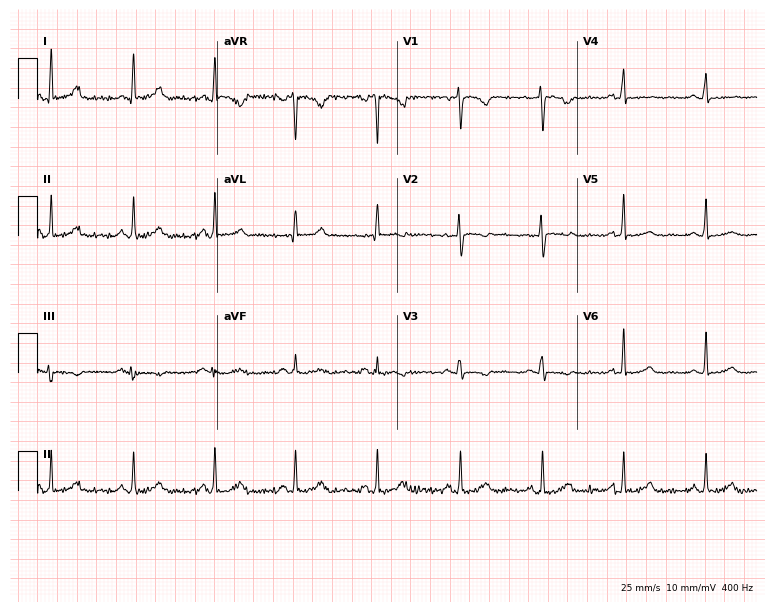
Electrocardiogram (7.3-second recording at 400 Hz), a 32-year-old female. Of the six screened findings (first-degree AV block, right bundle branch block, left bundle branch block, sinus bradycardia, atrial fibrillation, sinus tachycardia), none is recorded.